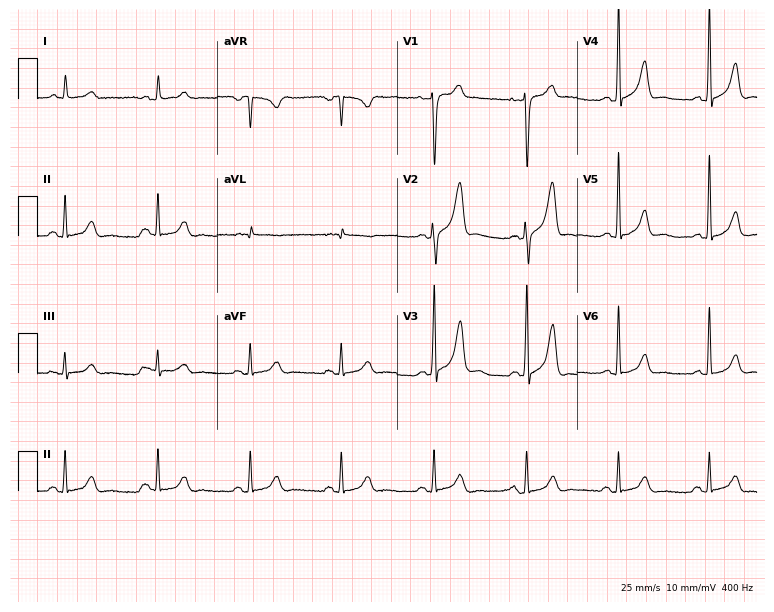
Resting 12-lead electrocardiogram. Patient: a male, 61 years old. Read as a normal ECG.